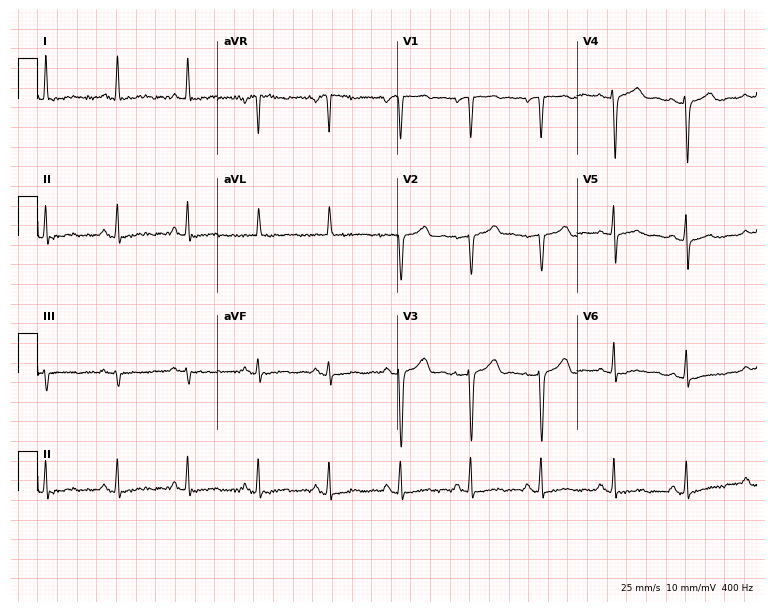
Standard 12-lead ECG recorded from a 50-year-old female patient. None of these six findings is recorded: first-degree AV block, right bundle branch block, left bundle branch block, sinus bradycardia, atrial fibrillation, sinus tachycardia.